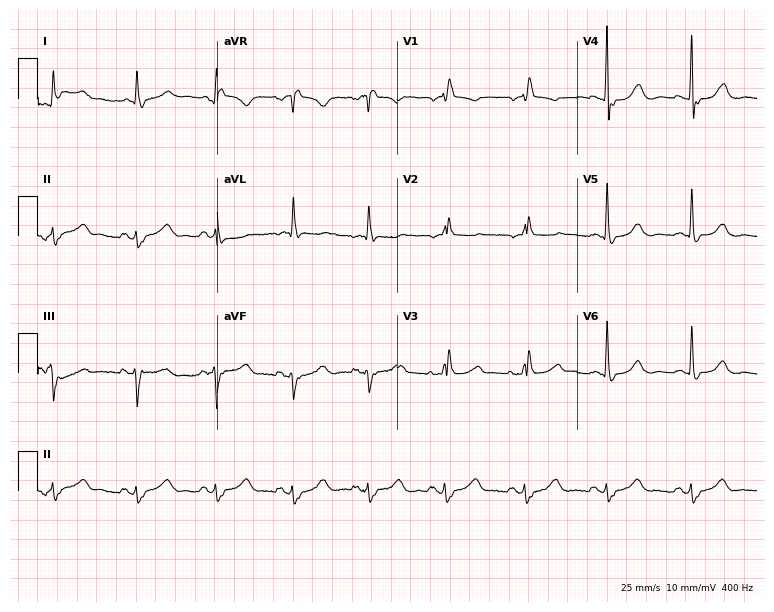
12-lead ECG from an 80-year-old female. Findings include right bundle branch block.